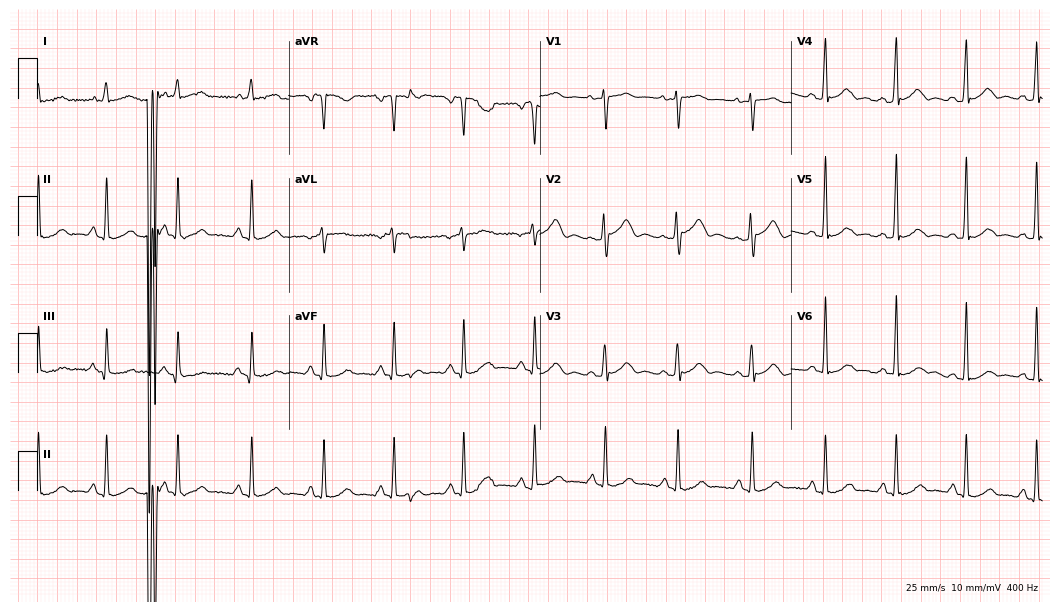
12-lead ECG (10.2-second recording at 400 Hz) from a 30-year-old female patient. Screened for six findings — first-degree AV block, right bundle branch block, left bundle branch block, sinus bradycardia, atrial fibrillation, sinus tachycardia — none is recorded.